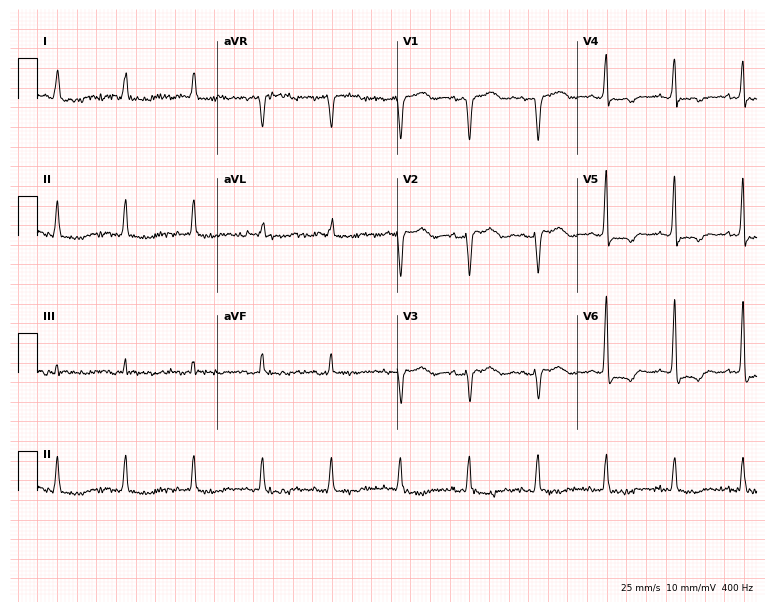
Standard 12-lead ECG recorded from a female, 65 years old. None of these six findings is recorded: first-degree AV block, right bundle branch block, left bundle branch block, sinus bradycardia, atrial fibrillation, sinus tachycardia. Findings outside these six are not listed.